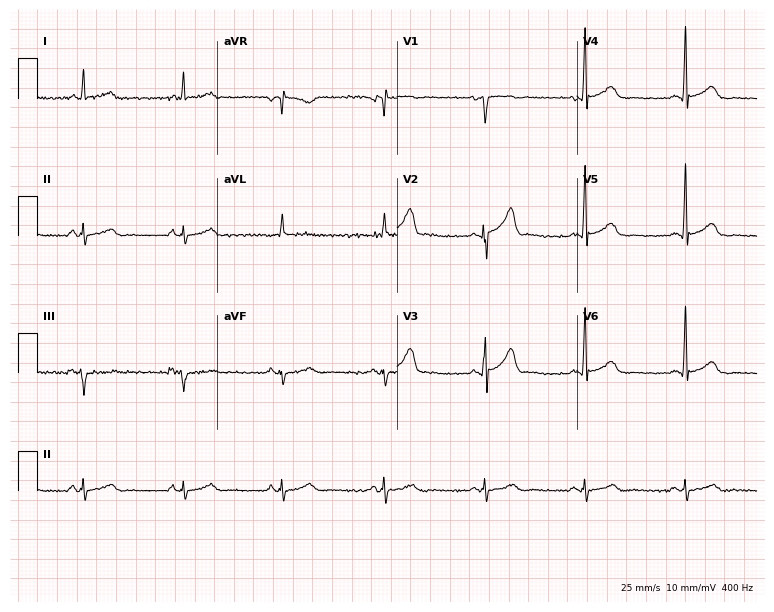
Electrocardiogram (7.3-second recording at 400 Hz), a 58-year-old male patient. Overall reading on record: normal ECG.